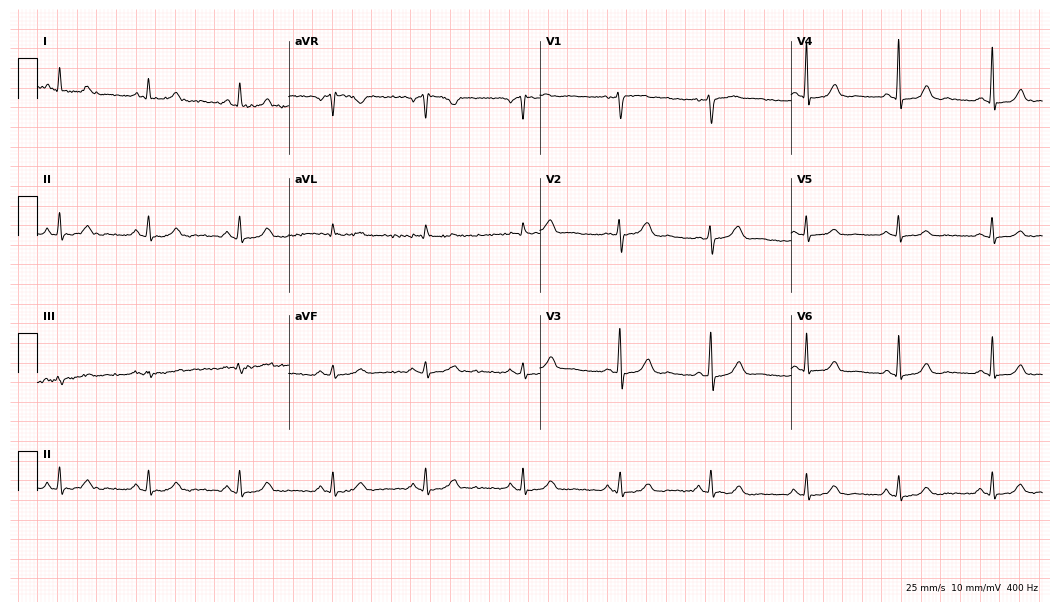
ECG (10.2-second recording at 400 Hz) — a 41-year-old female patient. Labelled as a normal ECG.